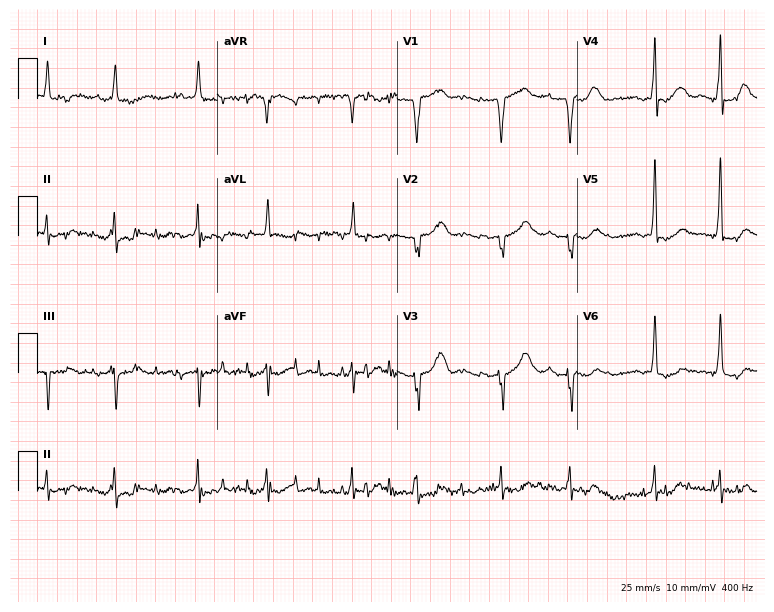
ECG (7.3-second recording at 400 Hz) — an 83-year-old female. Screened for six findings — first-degree AV block, right bundle branch block, left bundle branch block, sinus bradycardia, atrial fibrillation, sinus tachycardia — none is recorded.